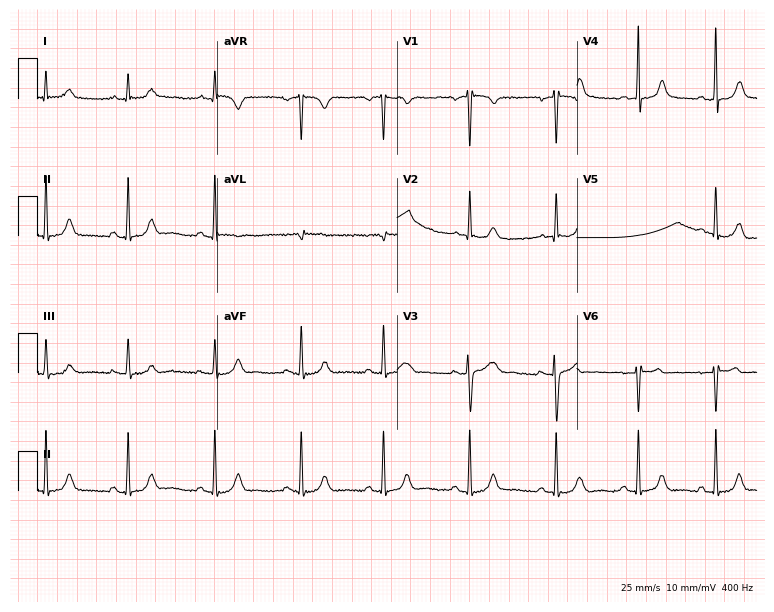
12-lead ECG from a woman, 28 years old. No first-degree AV block, right bundle branch block, left bundle branch block, sinus bradycardia, atrial fibrillation or sinus tachycardia recorded for this tracing.